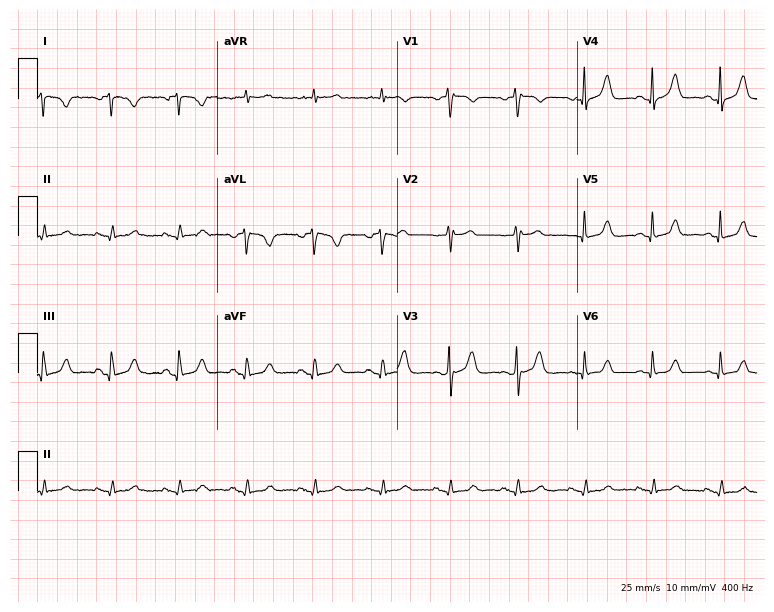
12-lead ECG (7.3-second recording at 400 Hz) from a 75-year-old female. Screened for six findings — first-degree AV block, right bundle branch block (RBBB), left bundle branch block (LBBB), sinus bradycardia, atrial fibrillation (AF), sinus tachycardia — none is recorded. Findings outside these six are not listed.